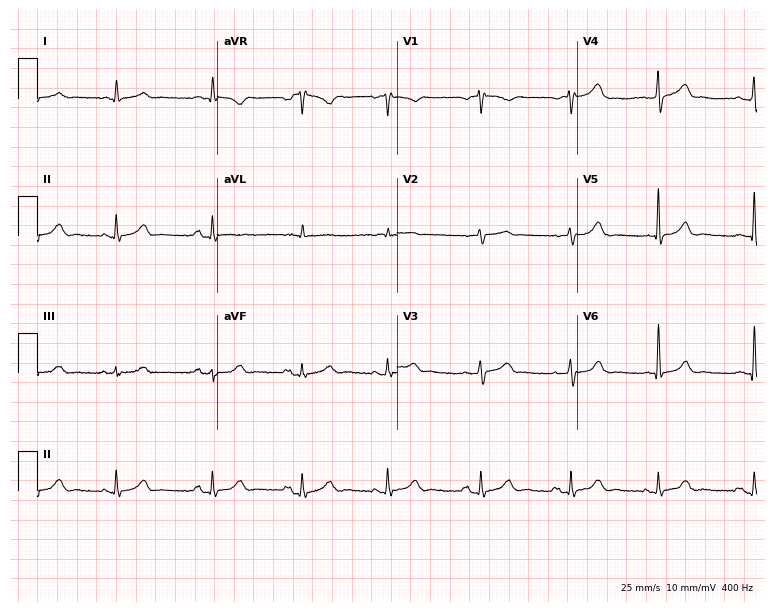
12-lead ECG from a man, 84 years old. No first-degree AV block, right bundle branch block, left bundle branch block, sinus bradycardia, atrial fibrillation or sinus tachycardia recorded for this tracing.